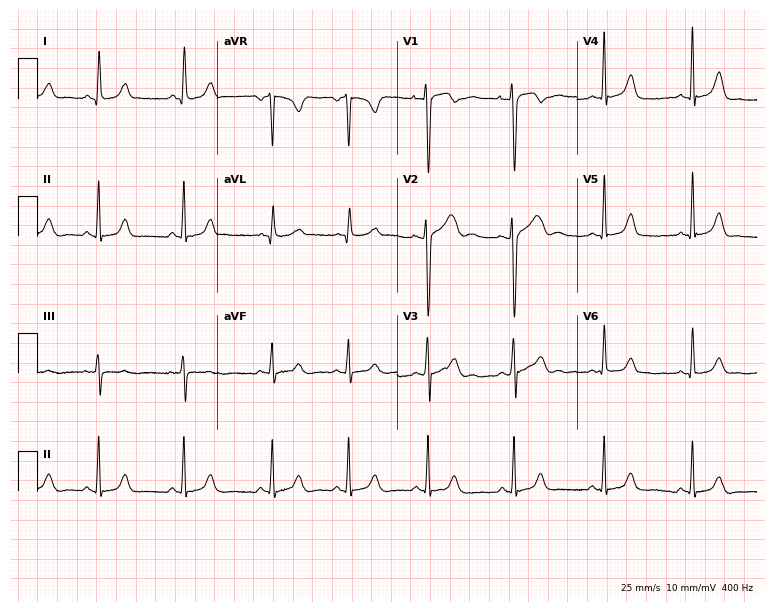
12-lead ECG from a female patient, 25 years old (7.3-second recording at 400 Hz). No first-degree AV block, right bundle branch block, left bundle branch block, sinus bradycardia, atrial fibrillation or sinus tachycardia recorded for this tracing. Findings outside these six are not listed.